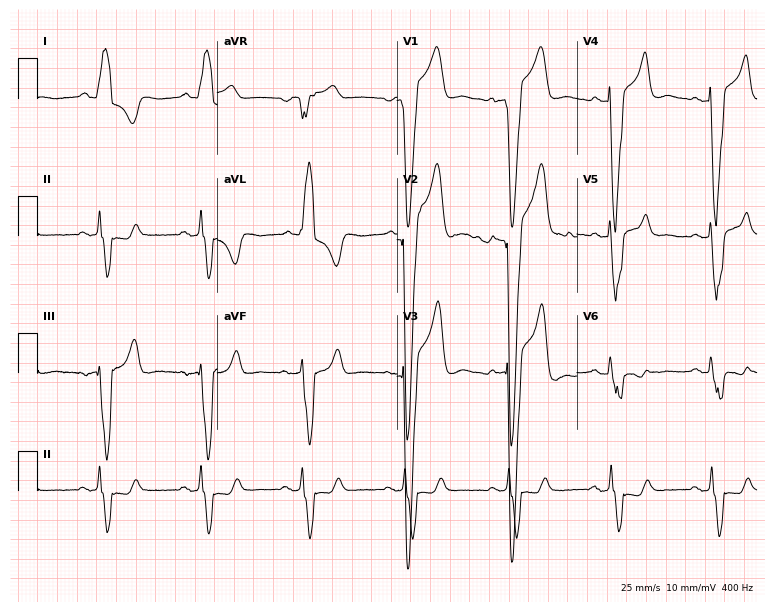
ECG (7.3-second recording at 400 Hz) — a male, 60 years old. Findings include left bundle branch block.